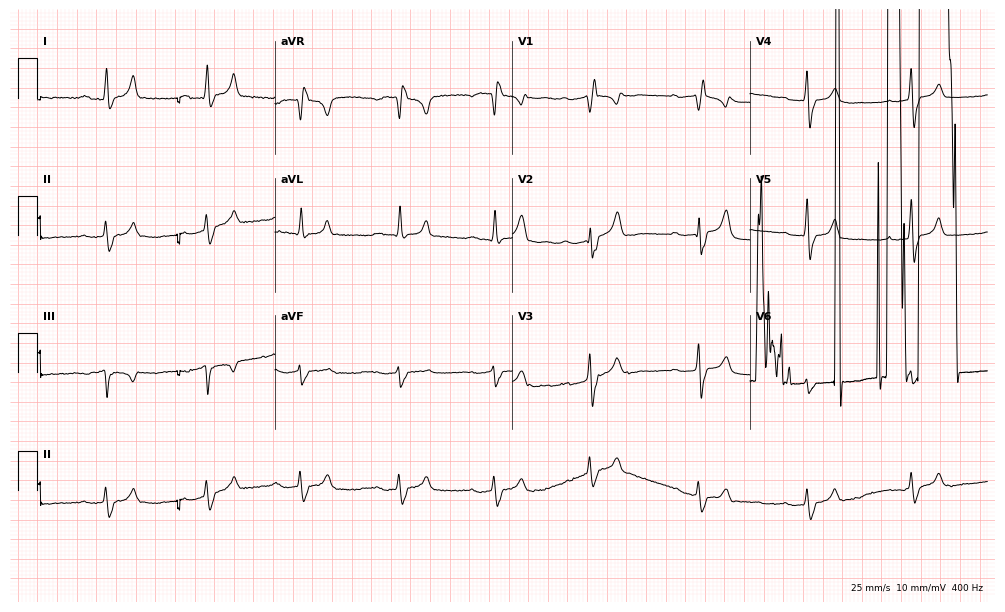
12-lead ECG from an 83-year-old woman. Screened for six findings — first-degree AV block, right bundle branch block, left bundle branch block, sinus bradycardia, atrial fibrillation, sinus tachycardia — none is recorded.